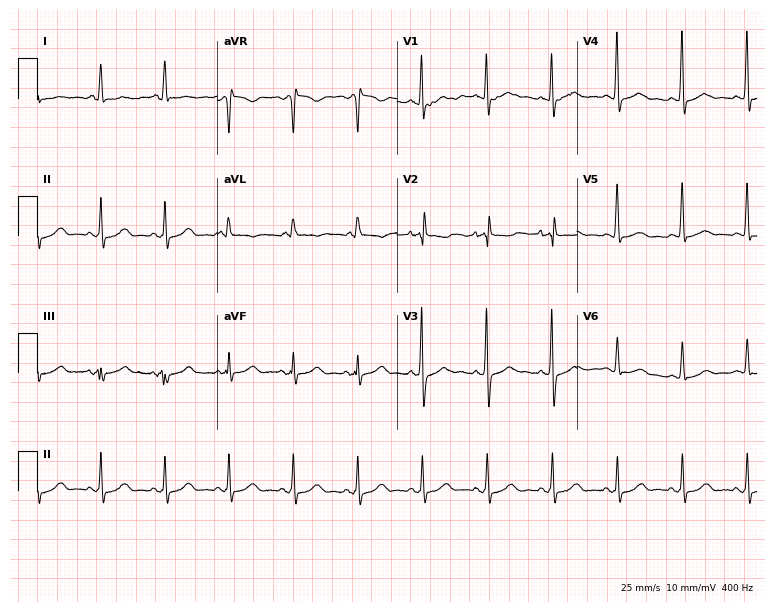
Resting 12-lead electrocardiogram. Patient: a female, 77 years old. None of these six findings is recorded: first-degree AV block, right bundle branch block, left bundle branch block, sinus bradycardia, atrial fibrillation, sinus tachycardia. Other findings, if any, are not listed.